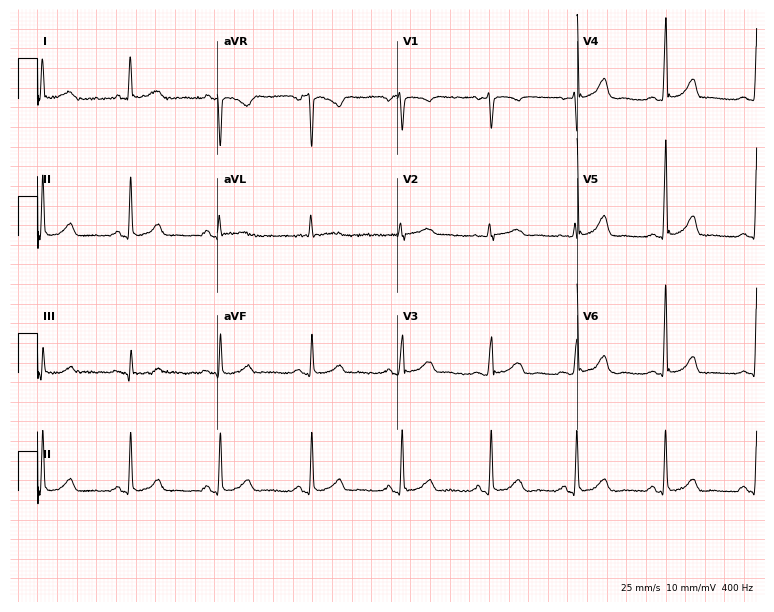
12-lead ECG from a 66-year-old female patient. Recorded interpretation: within normal limits.